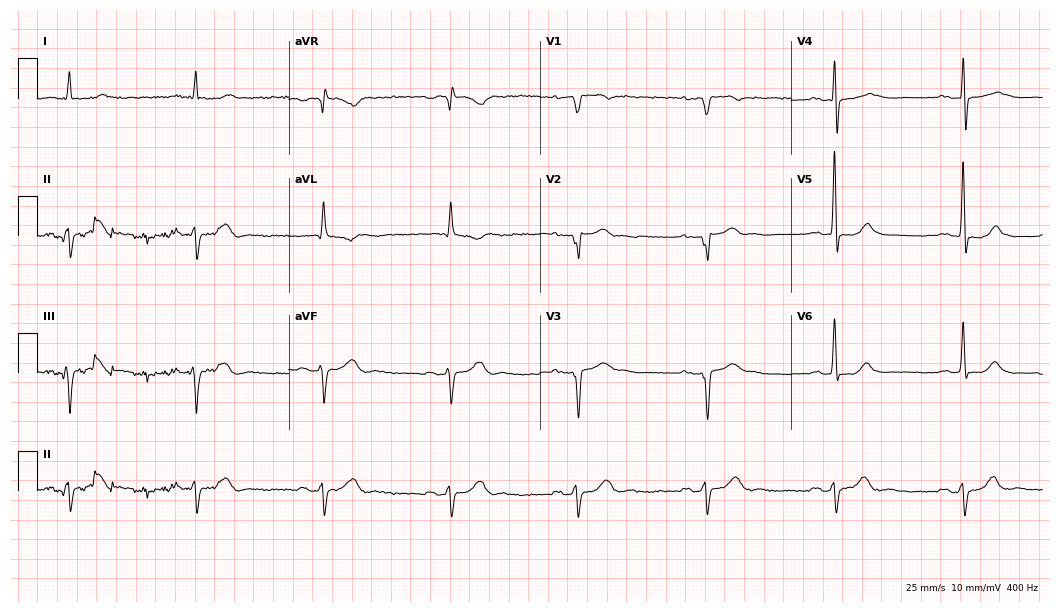
Standard 12-lead ECG recorded from a male patient, 70 years old (10.2-second recording at 400 Hz). The tracing shows sinus bradycardia (a sinus rate of 50 beats per minute or less).